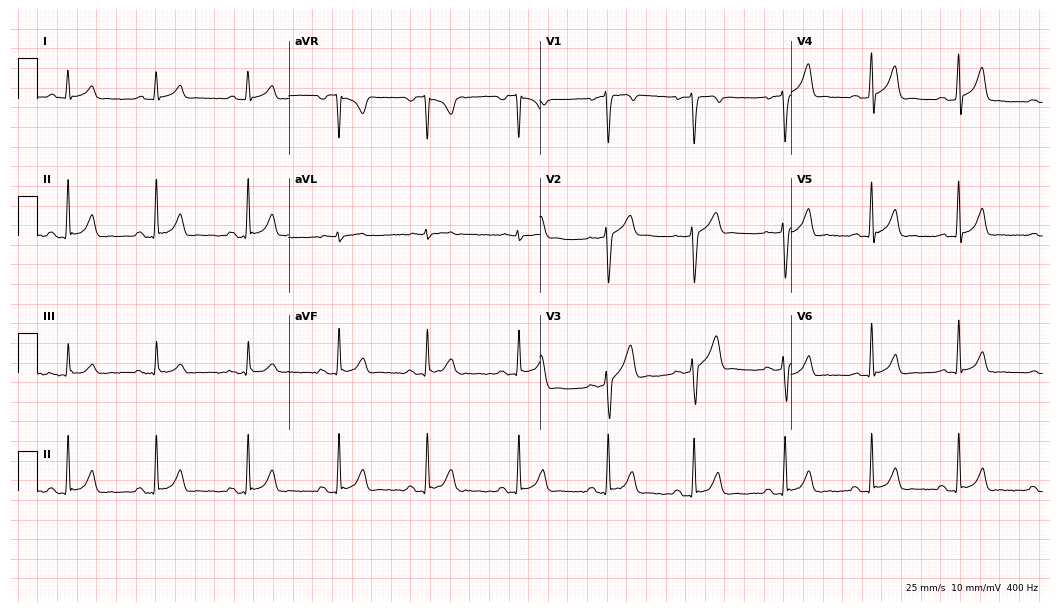
Standard 12-lead ECG recorded from a male patient, 34 years old. Read as a normal ECG.